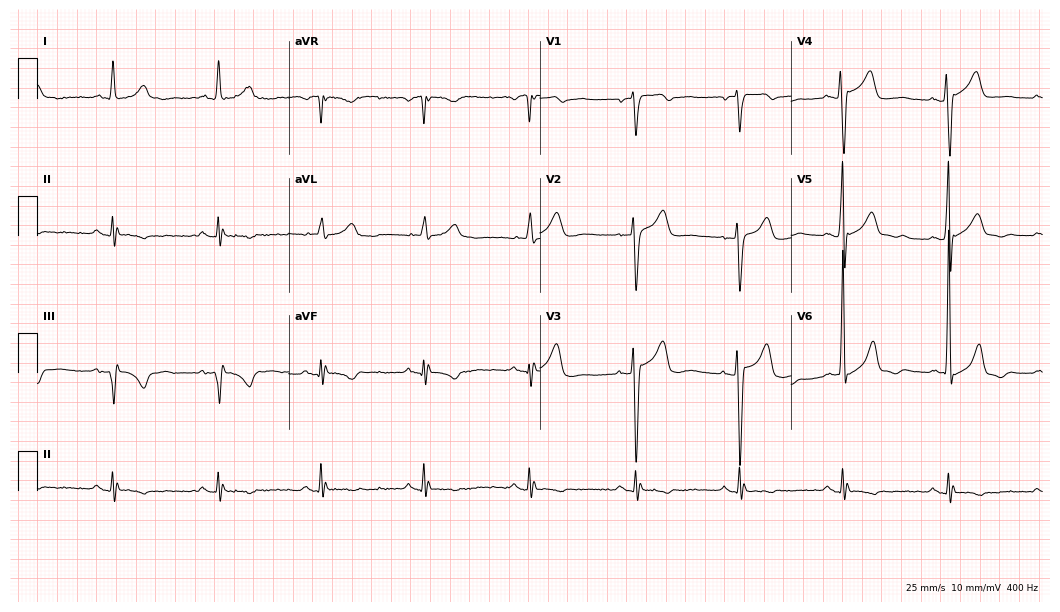
Resting 12-lead electrocardiogram. Patient: a male, 81 years old. None of these six findings is recorded: first-degree AV block, right bundle branch block, left bundle branch block, sinus bradycardia, atrial fibrillation, sinus tachycardia. Other findings, if any, are not listed.